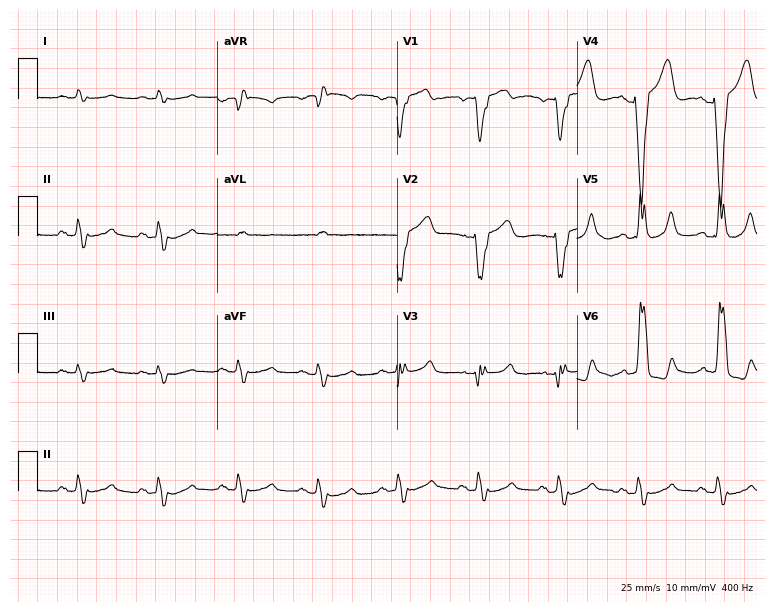
ECG (7.3-second recording at 400 Hz) — a 75-year-old male patient. Findings include left bundle branch block.